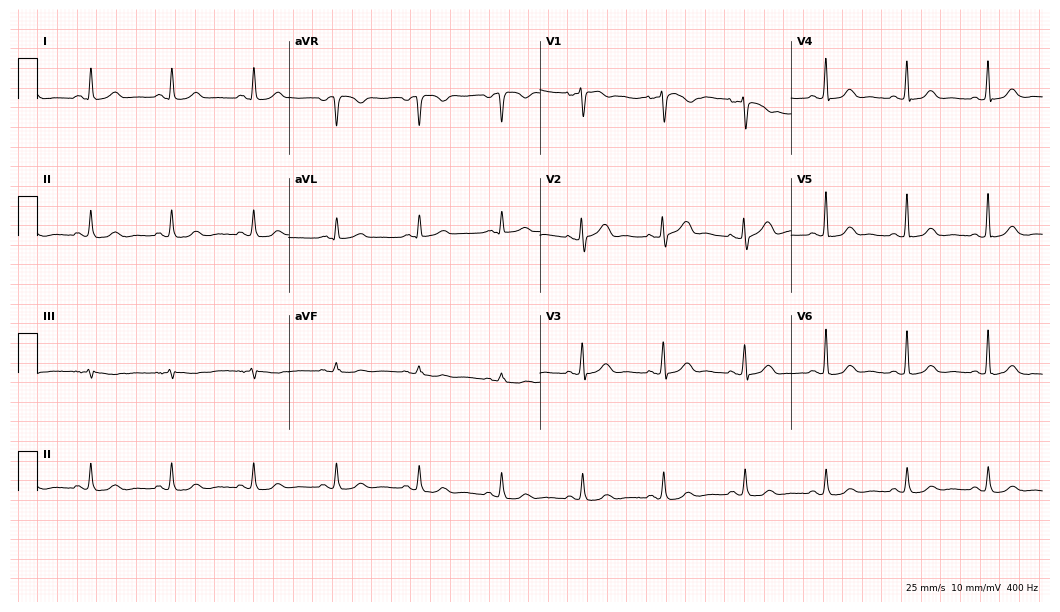
12-lead ECG (10.2-second recording at 400 Hz) from a 62-year-old female patient. Labelled as a normal ECG.